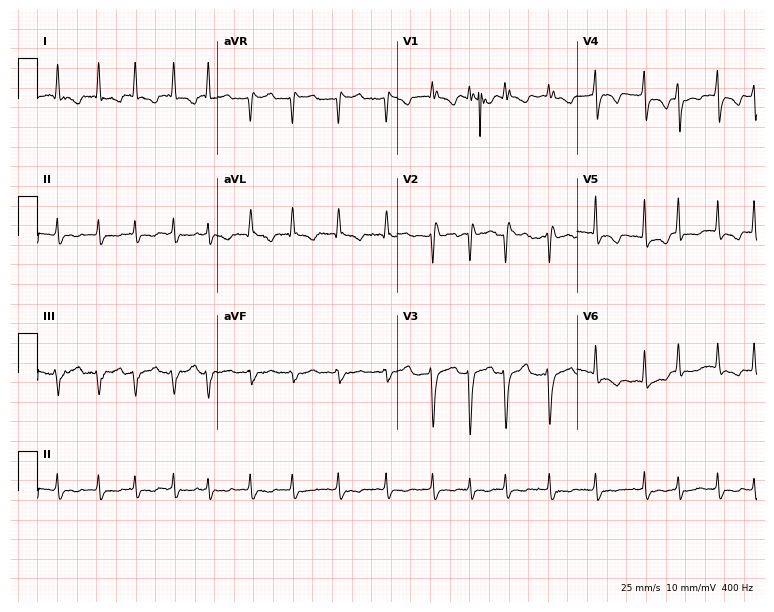
Electrocardiogram, a 66-year-old woman. Interpretation includes atrial fibrillation.